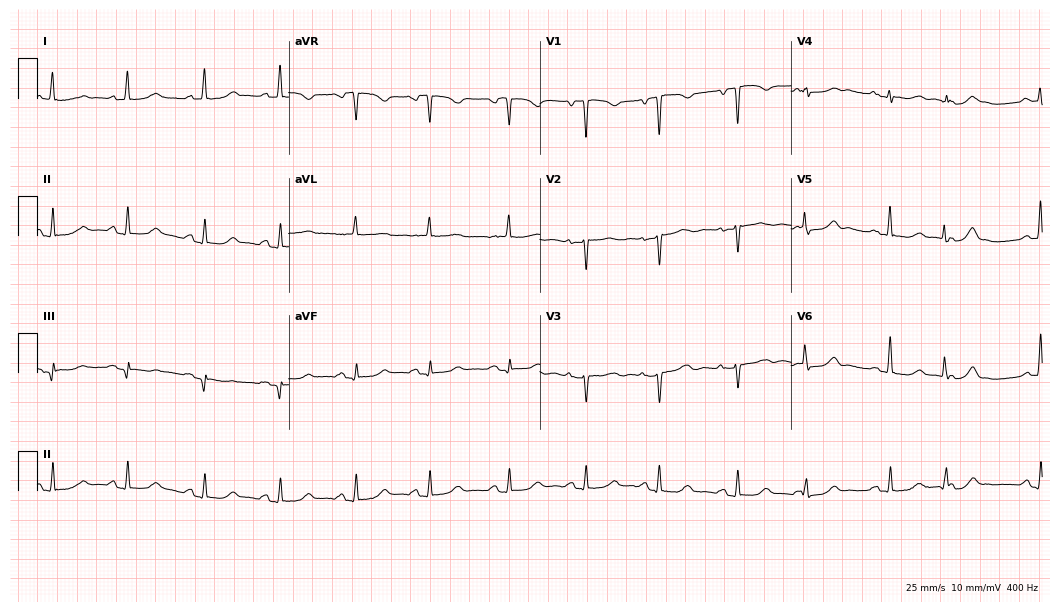
Electrocardiogram (10.2-second recording at 400 Hz), a woman, 79 years old. Of the six screened findings (first-degree AV block, right bundle branch block, left bundle branch block, sinus bradycardia, atrial fibrillation, sinus tachycardia), none is recorded.